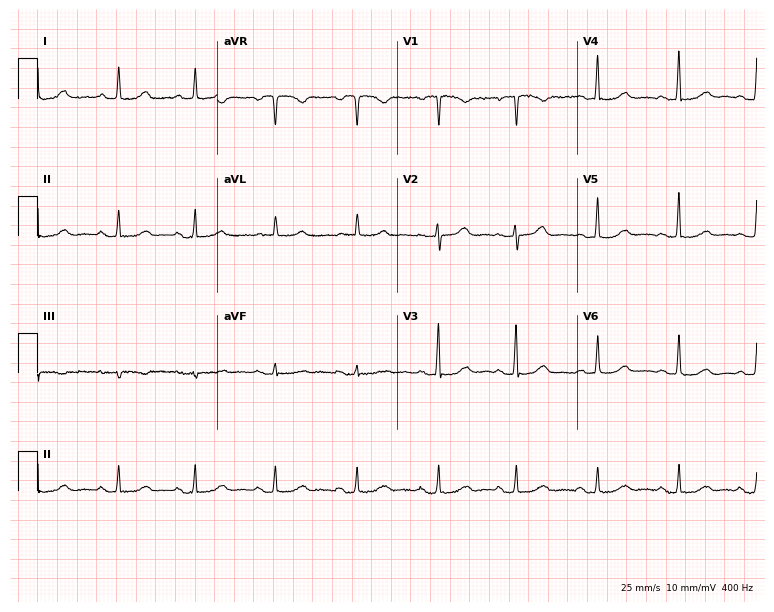
ECG (7.3-second recording at 400 Hz) — a 74-year-old female. Screened for six findings — first-degree AV block, right bundle branch block, left bundle branch block, sinus bradycardia, atrial fibrillation, sinus tachycardia — none is recorded.